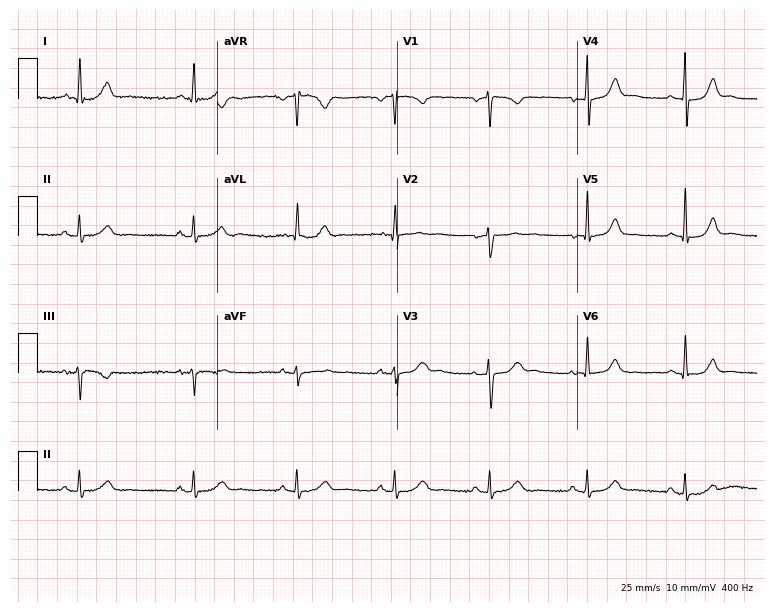
Electrocardiogram (7.3-second recording at 400 Hz), a 42-year-old female. Of the six screened findings (first-degree AV block, right bundle branch block, left bundle branch block, sinus bradycardia, atrial fibrillation, sinus tachycardia), none is recorded. Findings outside these six are not listed.